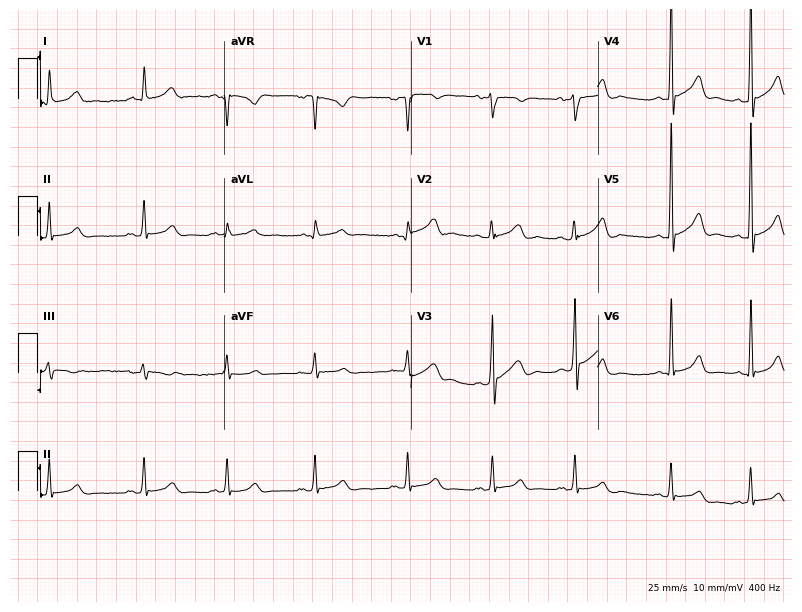
12-lead ECG from a 17-year-old male patient. Labelled as a normal ECG.